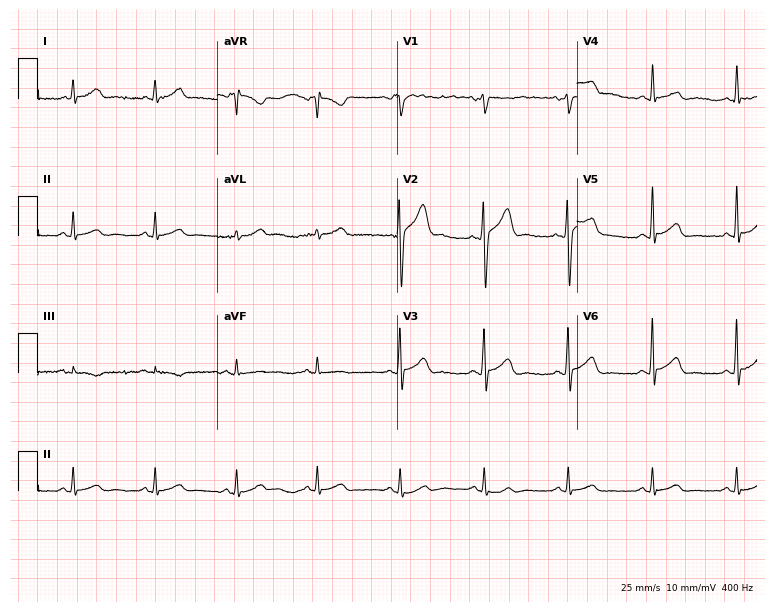
12-lead ECG (7.3-second recording at 400 Hz) from a male, 48 years old. Labelled as a normal ECG.